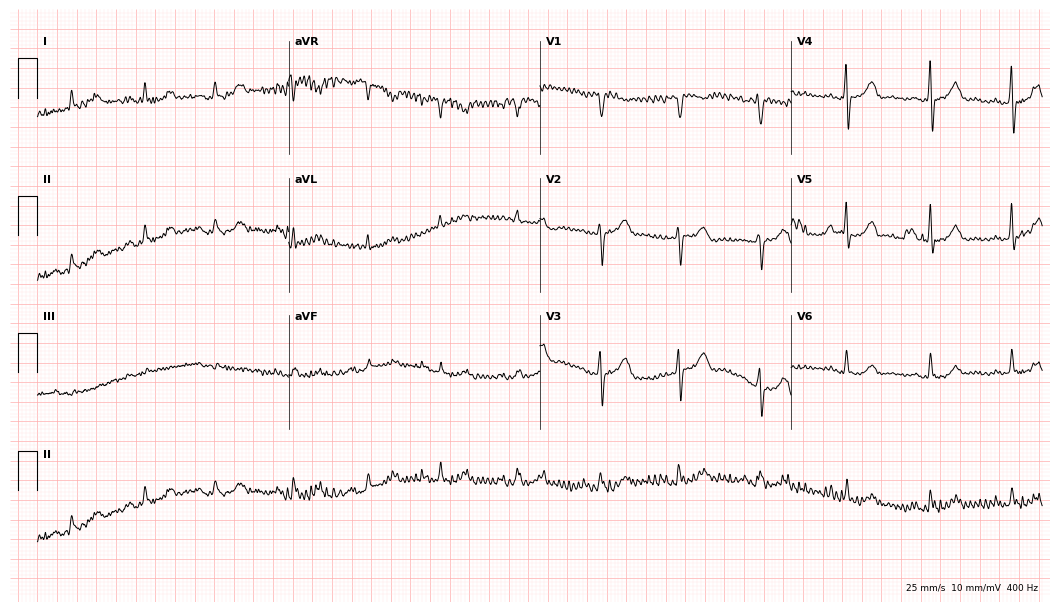
Standard 12-lead ECG recorded from a 51-year-old woman. Read as a normal ECG.